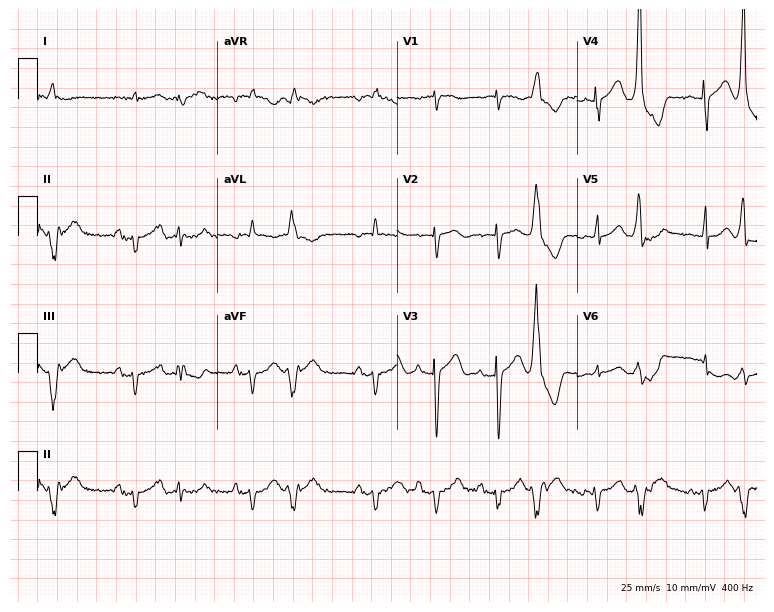
12-lead ECG from an 85-year-old male. No first-degree AV block, right bundle branch block, left bundle branch block, sinus bradycardia, atrial fibrillation or sinus tachycardia recorded for this tracing. Findings outside these six are not listed.